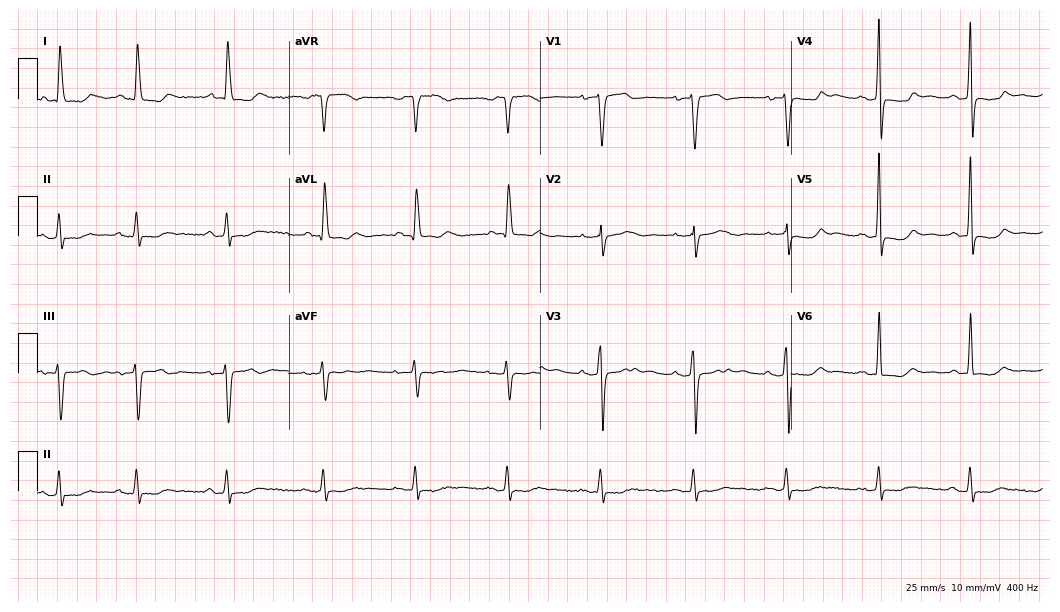
Resting 12-lead electrocardiogram. Patient: a female, 69 years old. None of these six findings is recorded: first-degree AV block, right bundle branch block, left bundle branch block, sinus bradycardia, atrial fibrillation, sinus tachycardia.